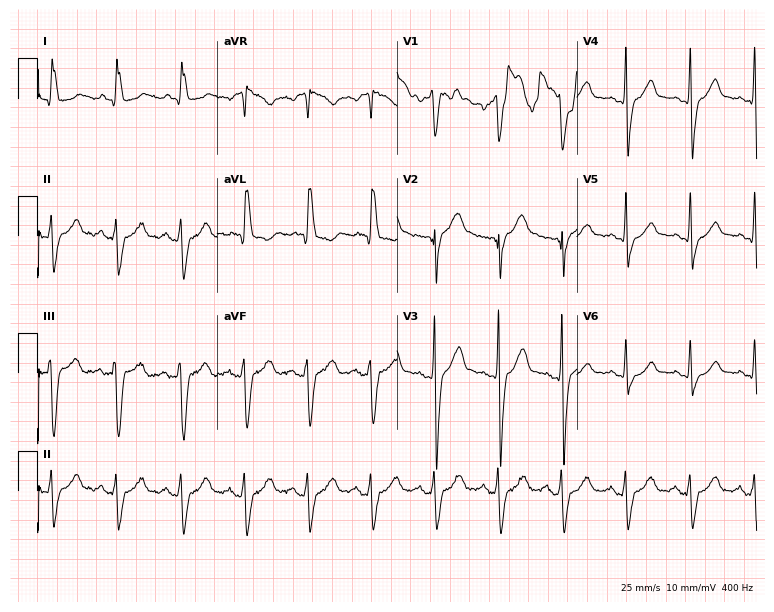
Standard 12-lead ECG recorded from a 35-year-old male. None of these six findings is recorded: first-degree AV block, right bundle branch block (RBBB), left bundle branch block (LBBB), sinus bradycardia, atrial fibrillation (AF), sinus tachycardia.